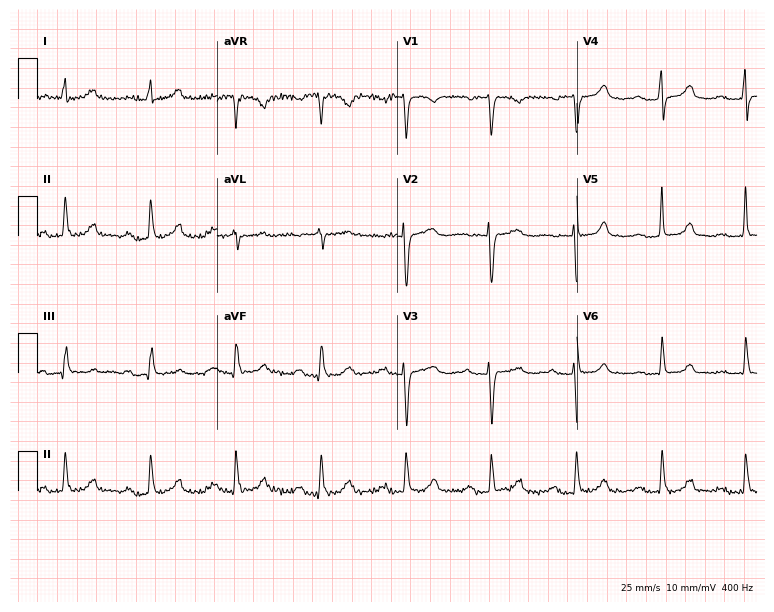
Standard 12-lead ECG recorded from a 66-year-old female. The tracing shows first-degree AV block.